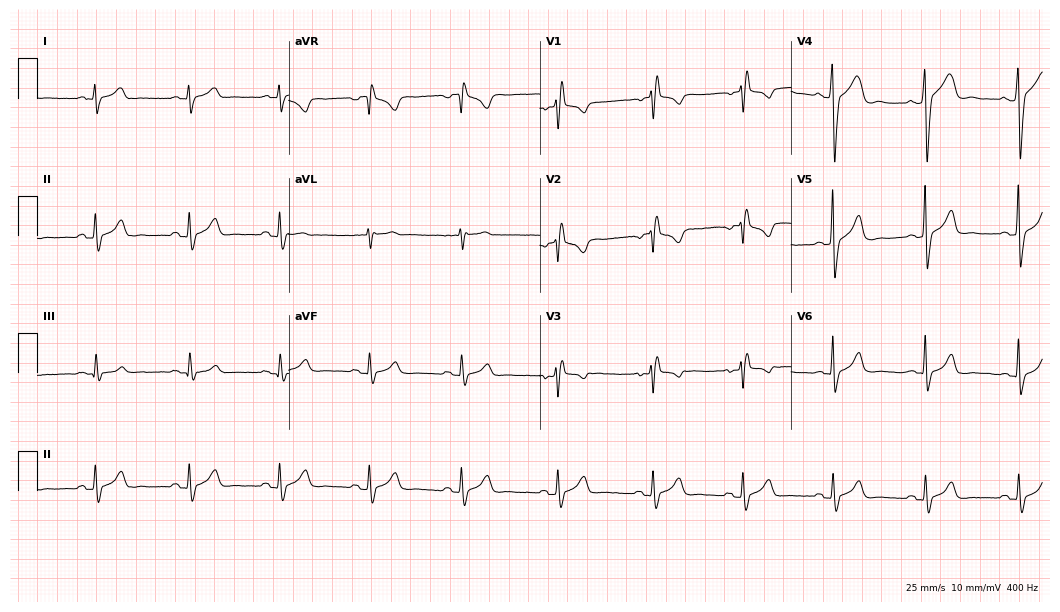
12-lead ECG from a 30-year-old male. Findings include right bundle branch block.